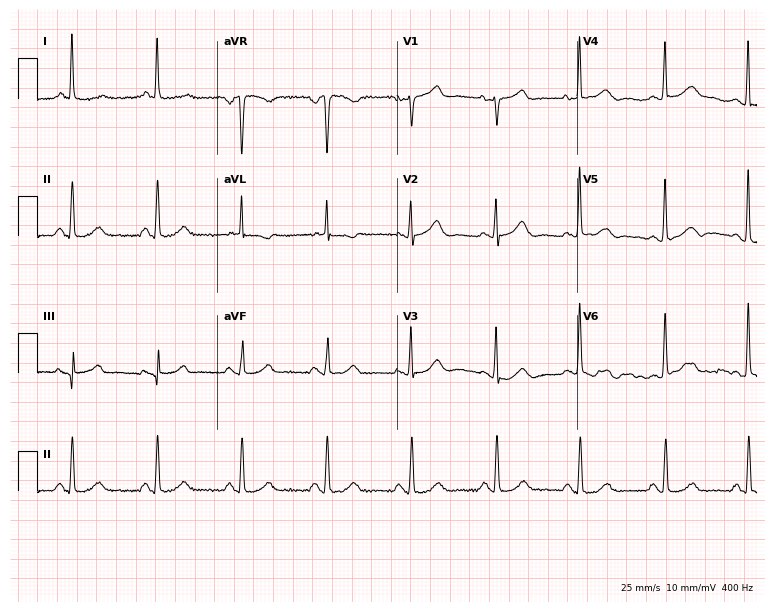
12-lead ECG (7.3-second recording at 400 Hz) from a female patient, 67 years old. Screened for six findings — first-degree AV block, right bundle branch block (RBBB), left bundle branch block (LBBB), sinus bradycardia, atrial fibrillation (AF), sinus tachycardia — none is recorded. Findings outside these six are not listed.